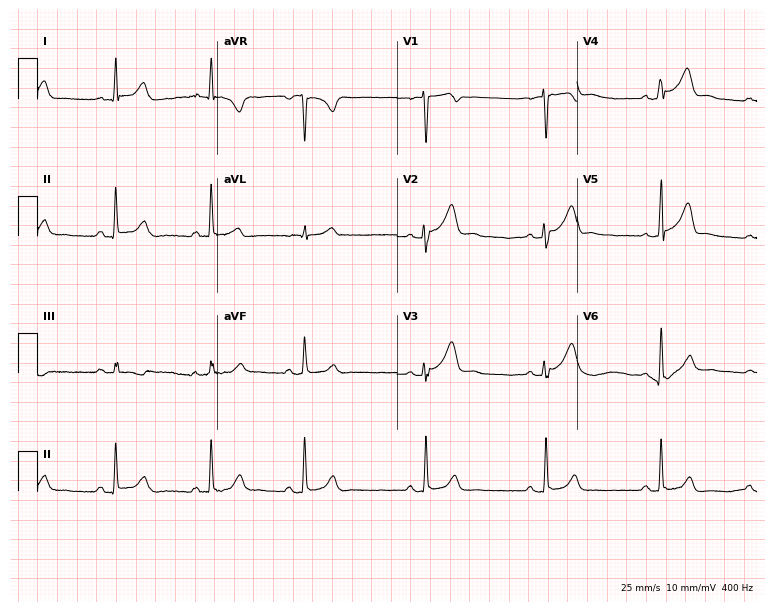
12-lead ECG (7.3-second recording at 400 Hz) from a male, 28 years old. Labelled as a normal ECG.